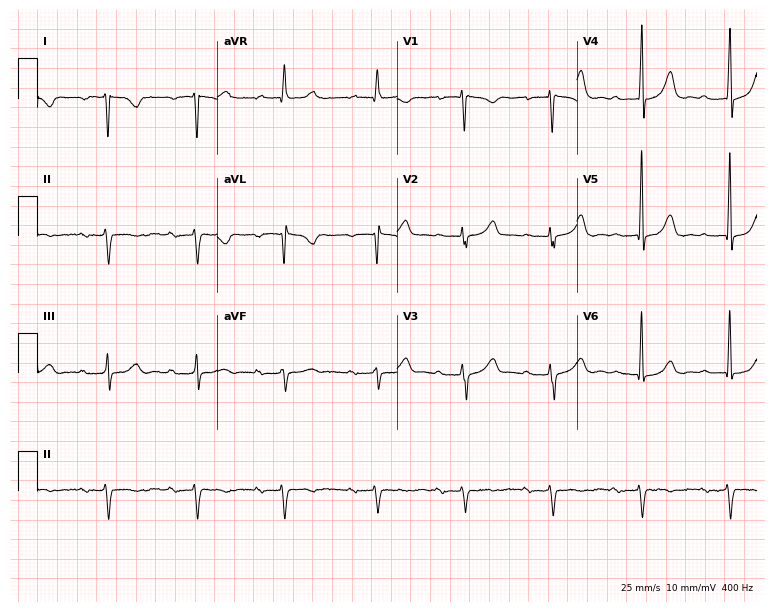
Standard 12-lead ECG recorded from a 72-year-old female patient (7.3-second recording at 400 Hz). None of these six findings is recorded: first-degree AV block, right bundle branch block, left bundle branch block, sinus bradycardia, atrial fibrillation, sinus tachycardia. Other findings, if any, are not listed.